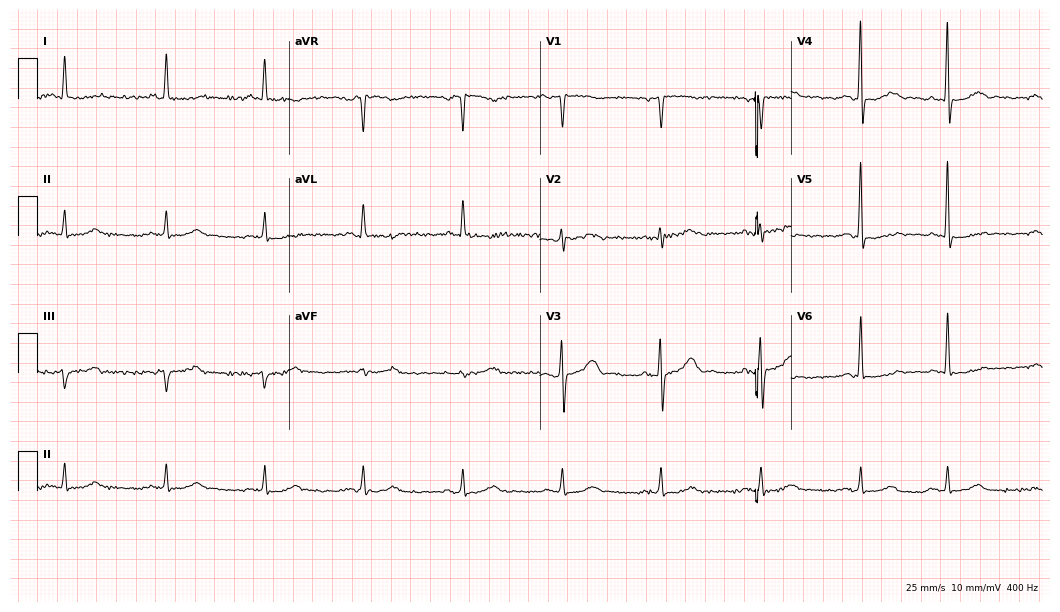
ECG (10.2-second recording at 400 Hz) — a 57-year-old male. Labelled as a normal ECG.